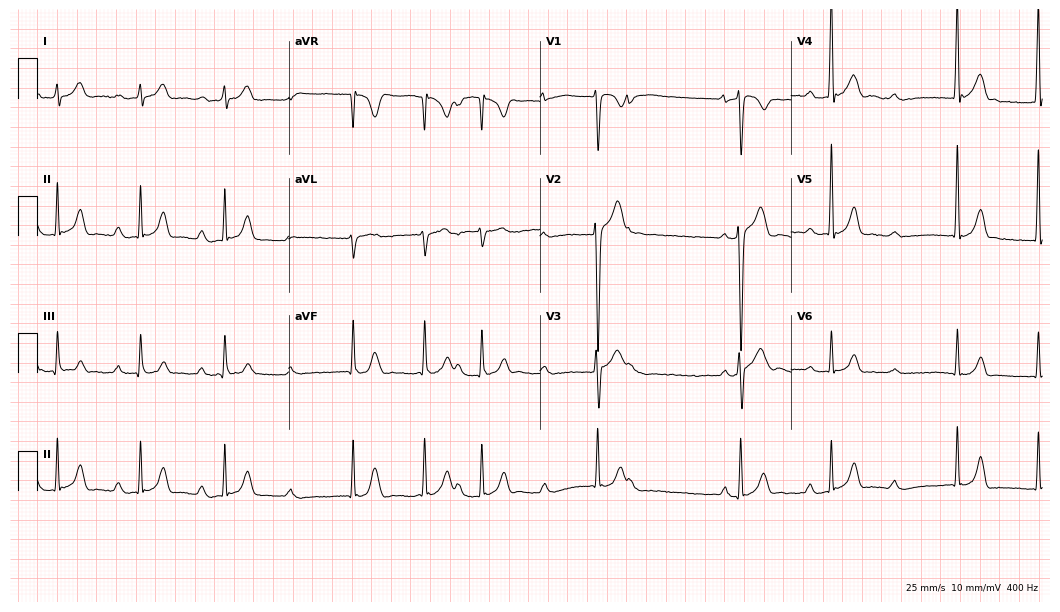
Standard 12-lead ECG recorded from a 17-year-old male patient (10.2-second recording at 400 Hz). None of these six findings is recorded: first-degree AV block, right bundle branch block, left bundle branch block, sinus bradycardia, atrial fibrillation, sinus tachycardia.